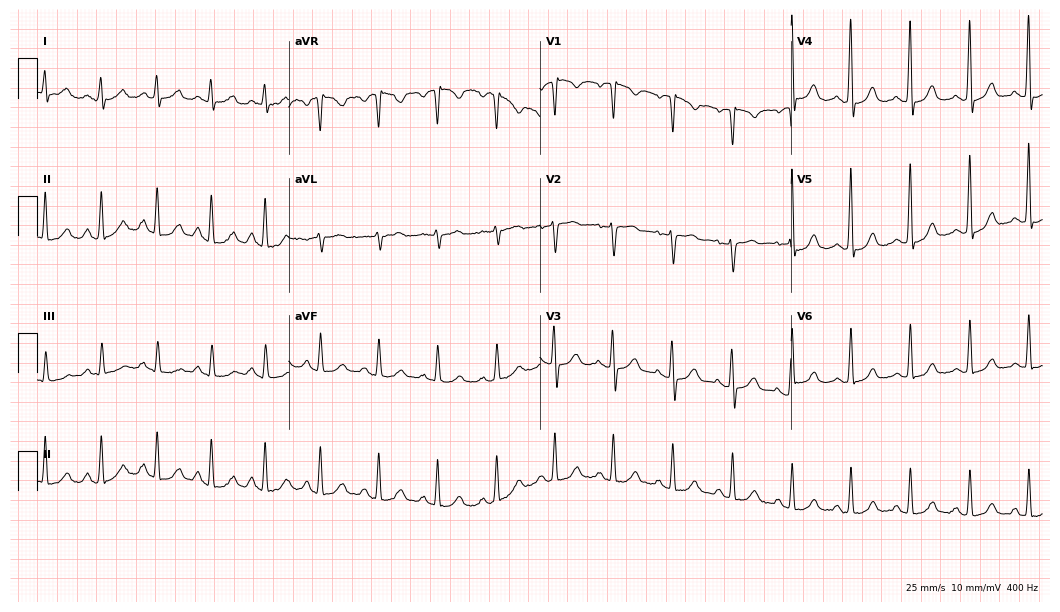
ECG — a female, 52 years old. Labelled as a normal ECG.